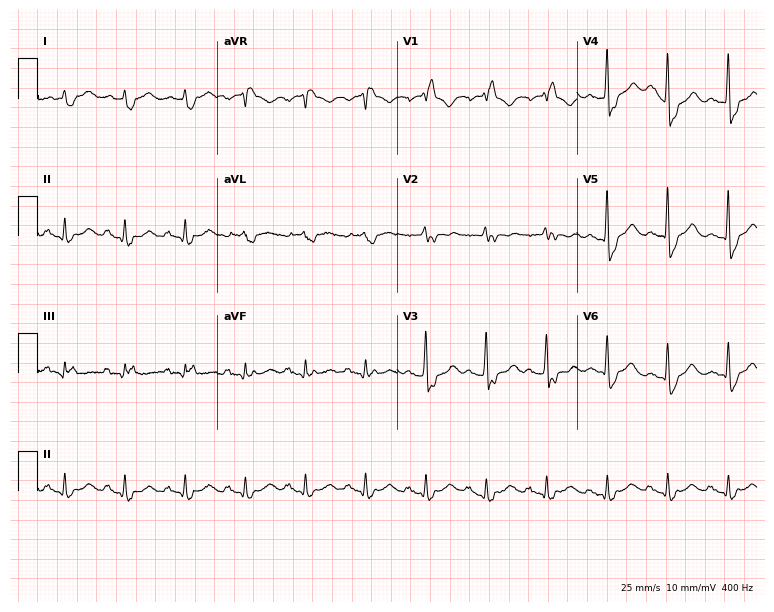
Resting 12-lead electrocardiogram. Patient: a 63-year-old man. The tracing shows right bundle branch block.